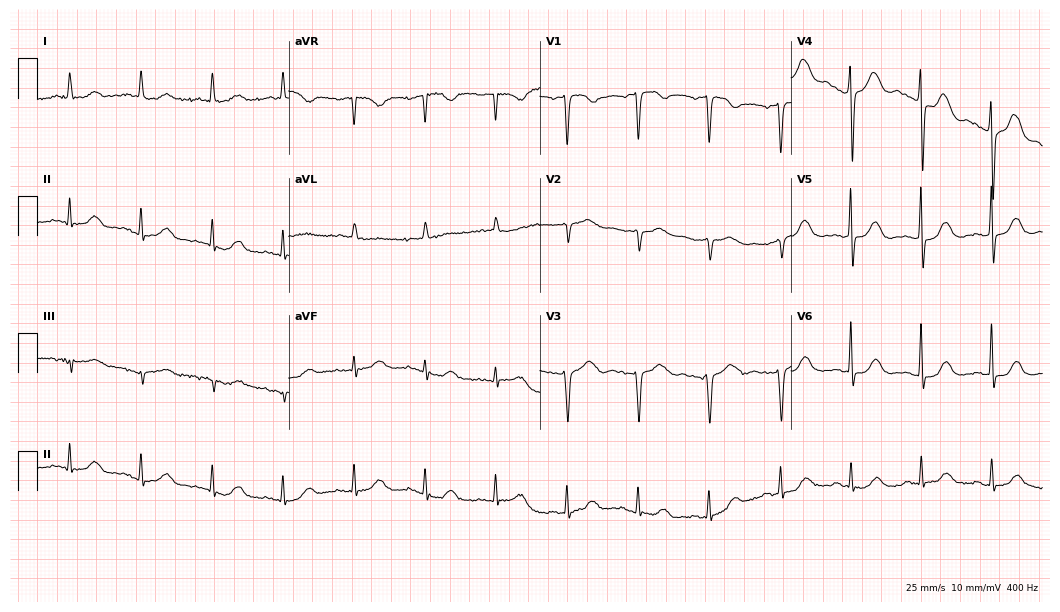
Standard 12-lead ECG recorded from a female patient, 64 years old (10.2-second recording at 400 Hz). None of these six findings is recorded: first-degree AV block, right bundle branch block, left bundle branch block, sinus bradycardia, atrial fibrillation, sinus tachycardia. Only these six findings were labelled.